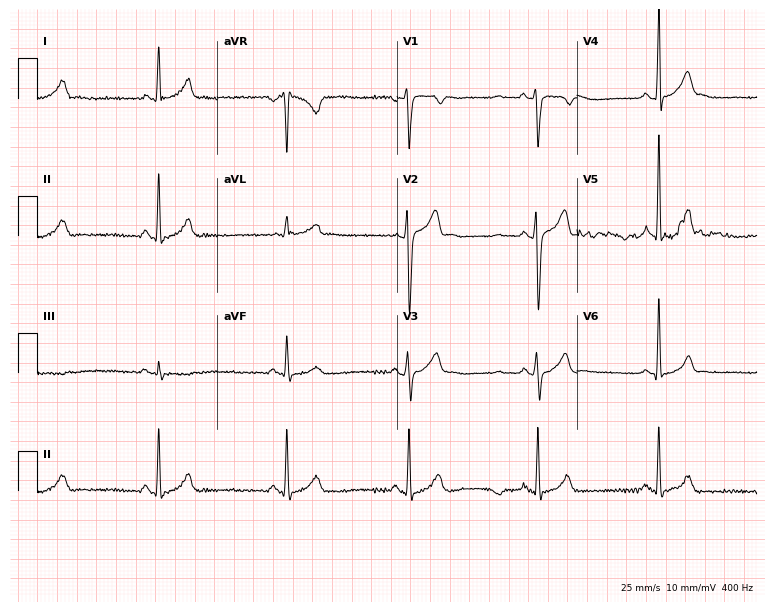
Electrocardiogram, a man, 29 years old. Interpretation includes sinus bradycardia (a sinus rate of 50 beats per minute or less).